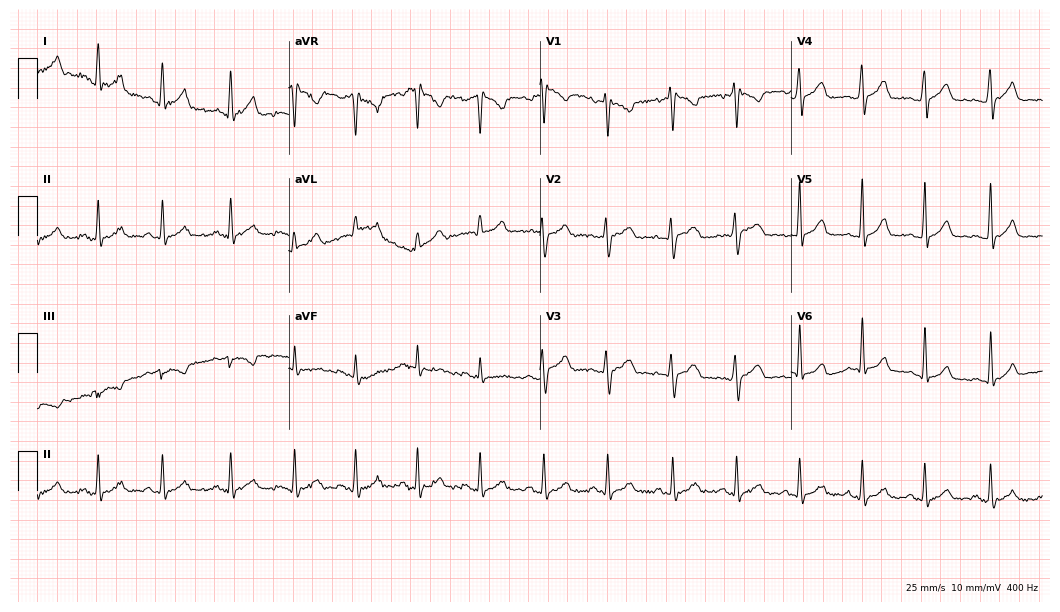
Standard 12-lead ECG recorded from a 27-year-old female patient (10.2-second recording at 400 Hz). None of these six findings is recorded: first-degree AV block, right bundle branch block (RBBB), left bundle branch block (LBBB), sinus bradycardia, atrial fibrillation (AF), sinus tachycardia. Findings outside these six are not listed.